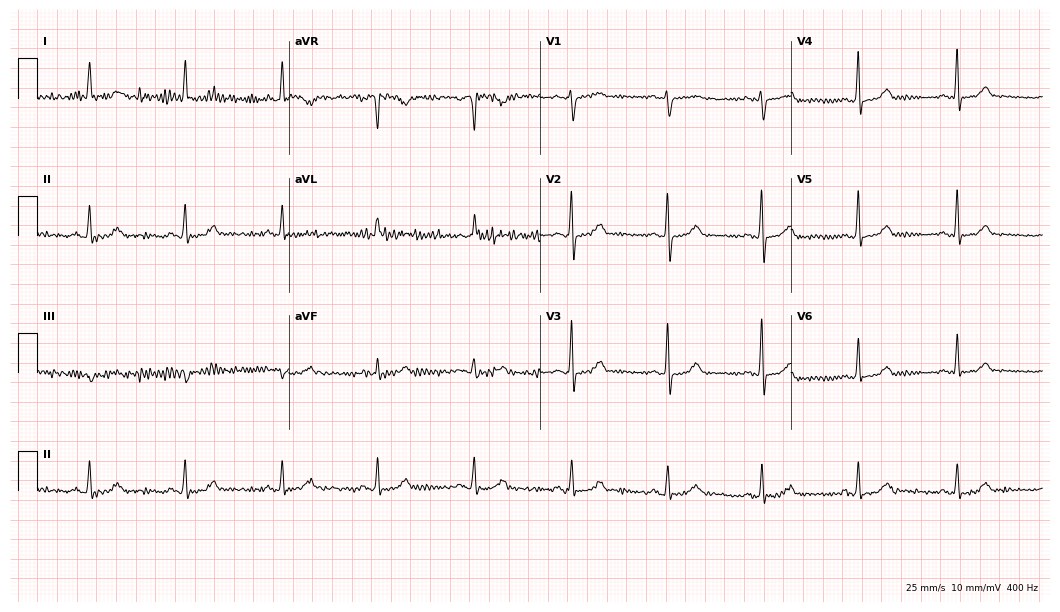
Resting 12-lead electrocardiogram. Patient: a 73-year-old female. None of these six findings is recorded: first-degree AV block, right bundle branch block (RBBB), left bundle branch block (LBBB), sinus bradycardia, atrial fibrillation (AF), sinus tachycardia.